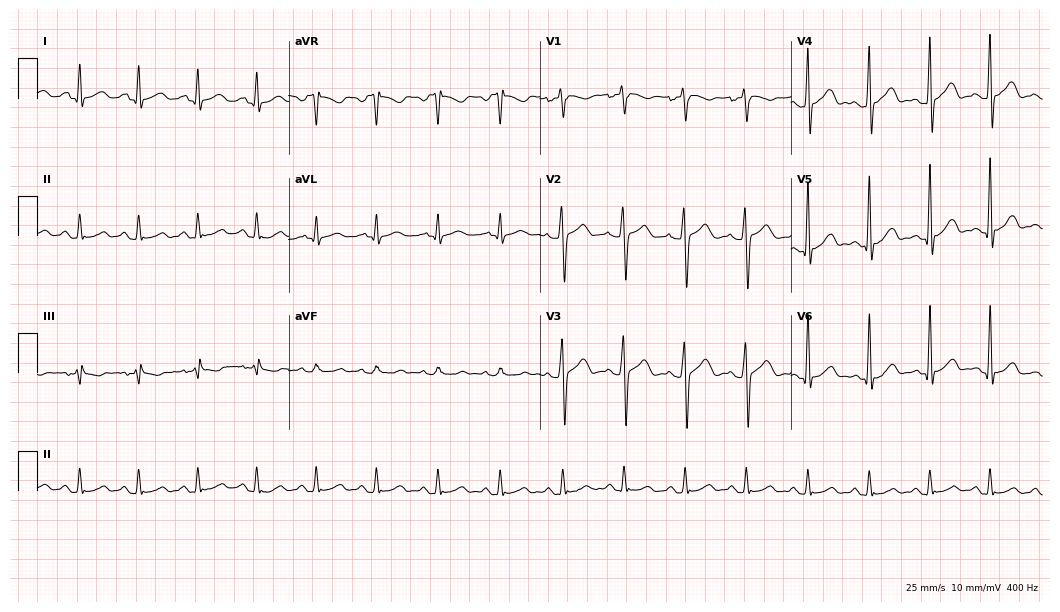
ECG — a male, 26 years old. Labelled as a normal ECG.